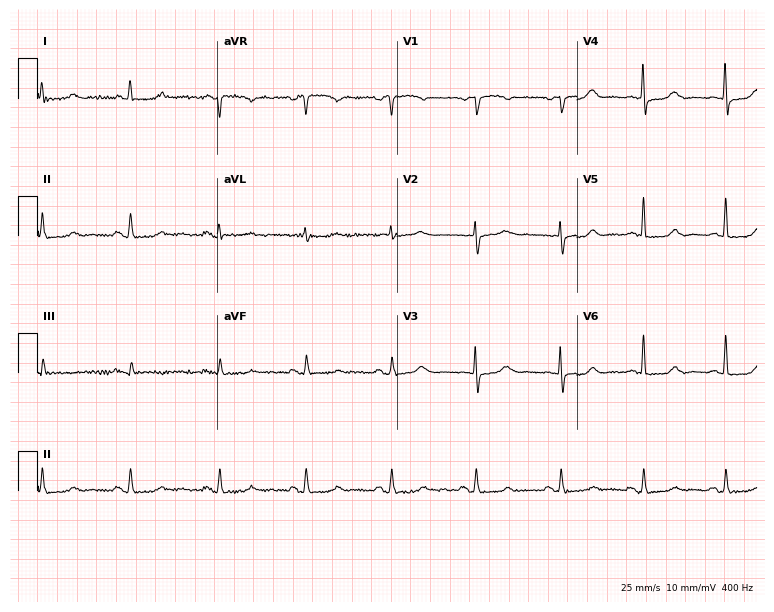
Resting 12-lead electrocardiogram (7.3-second recording at 400 Hz). Patient: a woman, 72 years old. None of these six findings is recorded: first-degree AV block, right bundle branch block (RBBB), left bundle branch block (LBBB), sinus bradycardia, atrial fibrillation (AF), sinus tachycardia.